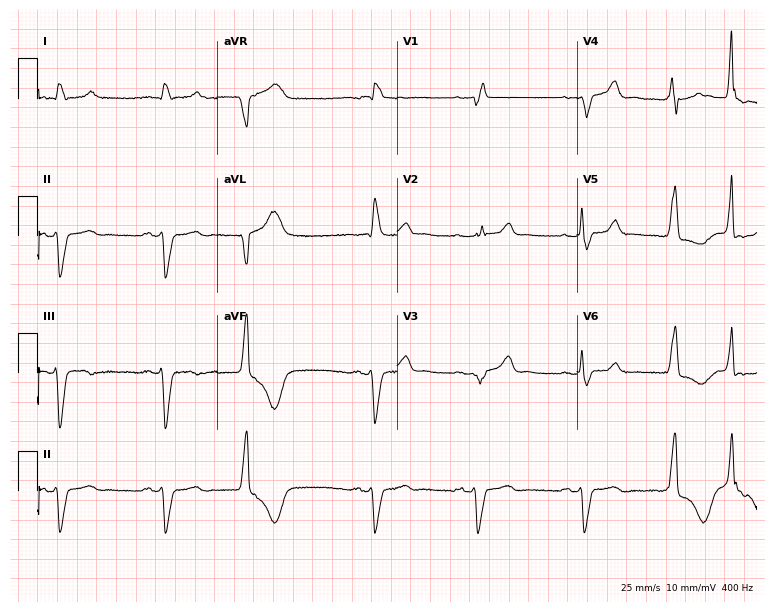
12-lead ECG from an 80-year-old male. Shows right bundle branch block.